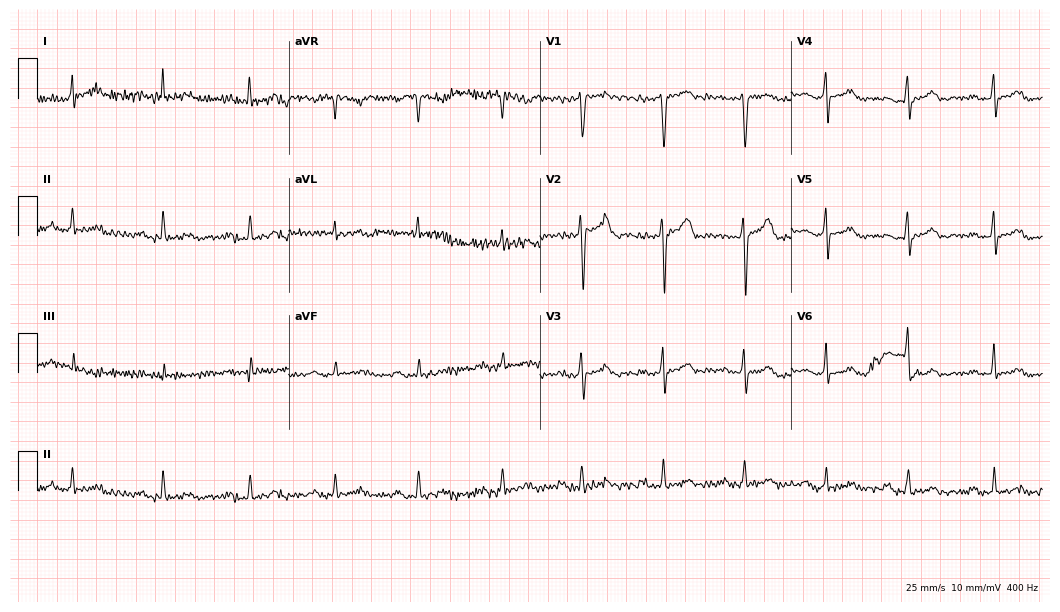
Electrocardiogram, a man, 53 years old. Of the six screened findings (first-degree AV block, right bundle branch block (RBBB), left bundle branch block (LBBB), sinus bradycardia, atrial fibrillation (AF), sinus tachycardia), none is recorded.